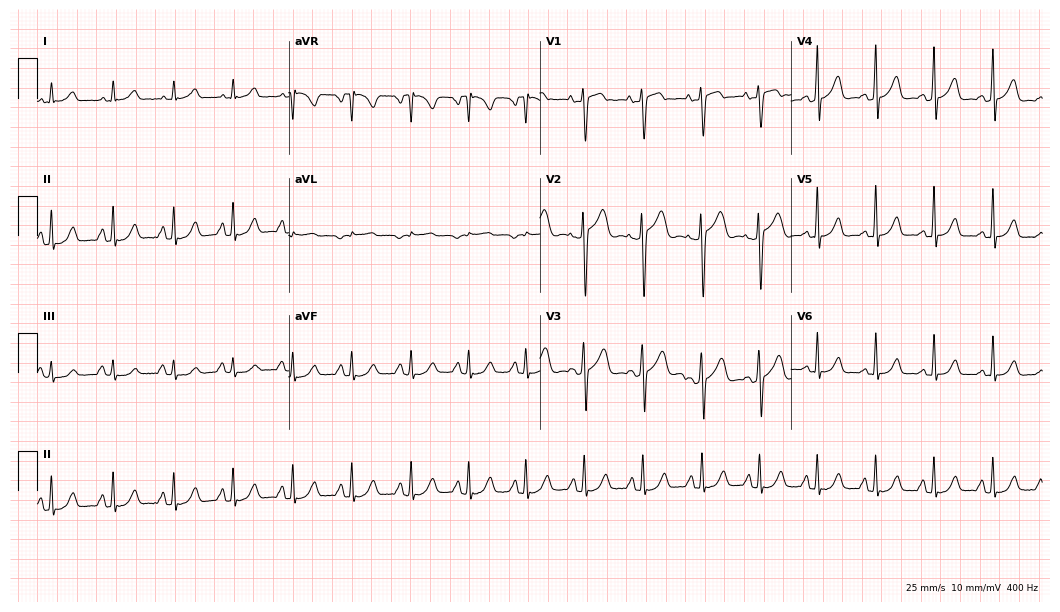
Standard 12-lead ECG recorded from a 64-year-old woman. None of these six findings is recorded: first-degree AV block, right bundle branch block, left bundle branch block, sinus bradycardia, atrial fibrillation, sinus tachycardia.